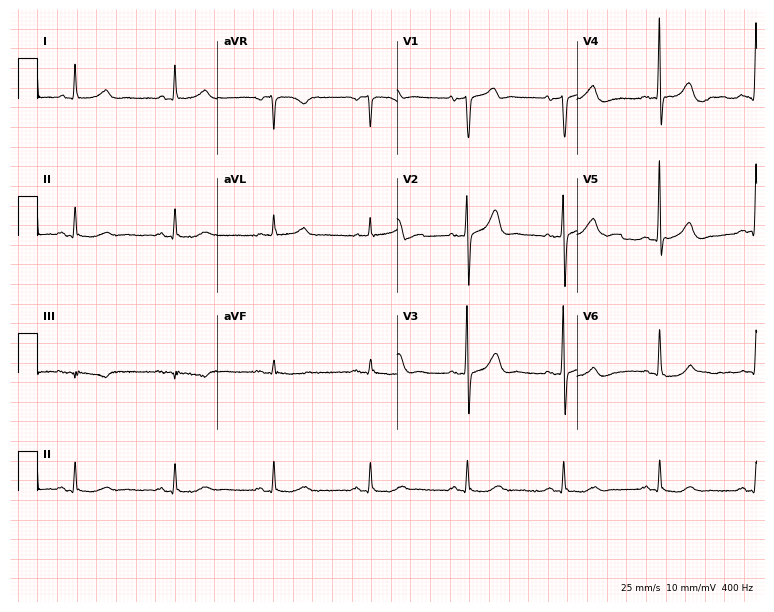
Resting 12-lead electrocardiogram. Patient: a 78-year-old male. None of these six findings is recorded: first-degree AV block, right bundle branch block (RBBB), left bundle branch block (LBBB), sinus bradycardia, atrial fibrillation (AF), sinus tachycardia.